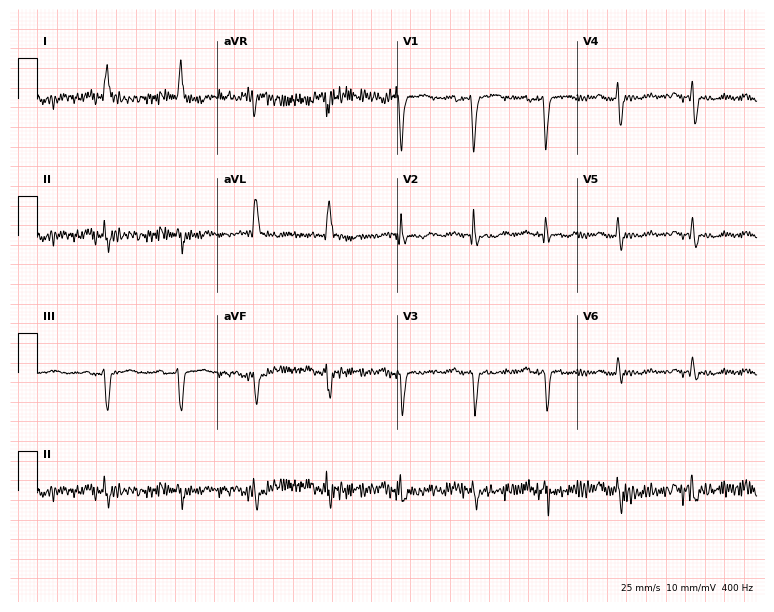
Resting 12-lead electrocardiogram. Patient: an 81-year-old female. None of these six findings is recorded: first-degree AV block, right bundle branch block, left bundle branch block, sinus bradycardia, atrial fibrillation, sinus tachycardia.